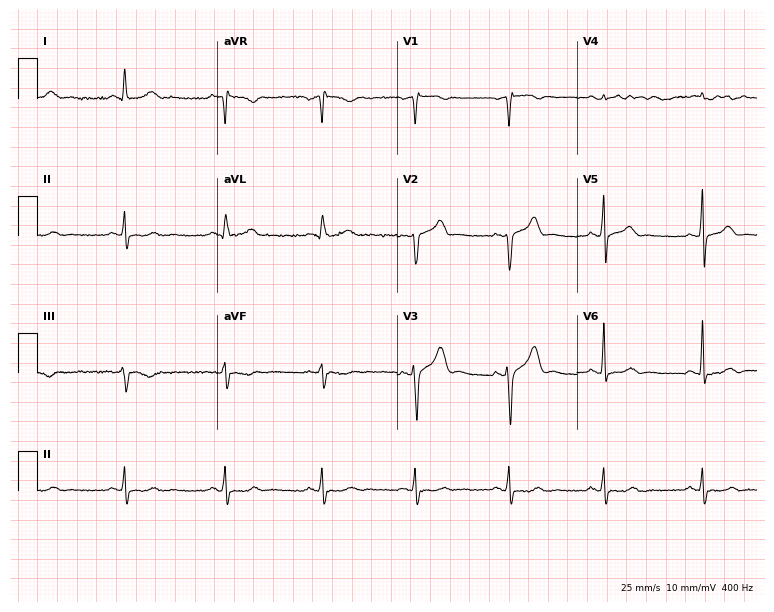
12-lead ECG (7.3-second recording at 400 Hz) from a man, 35 years old. Screened for six findings — first-degree AV block, right bundle branch block, left bundle branch block, sinus bradycardia, atrial fibrillation, sinus tachycardia — none is recorded. Only these six findings were labelled.